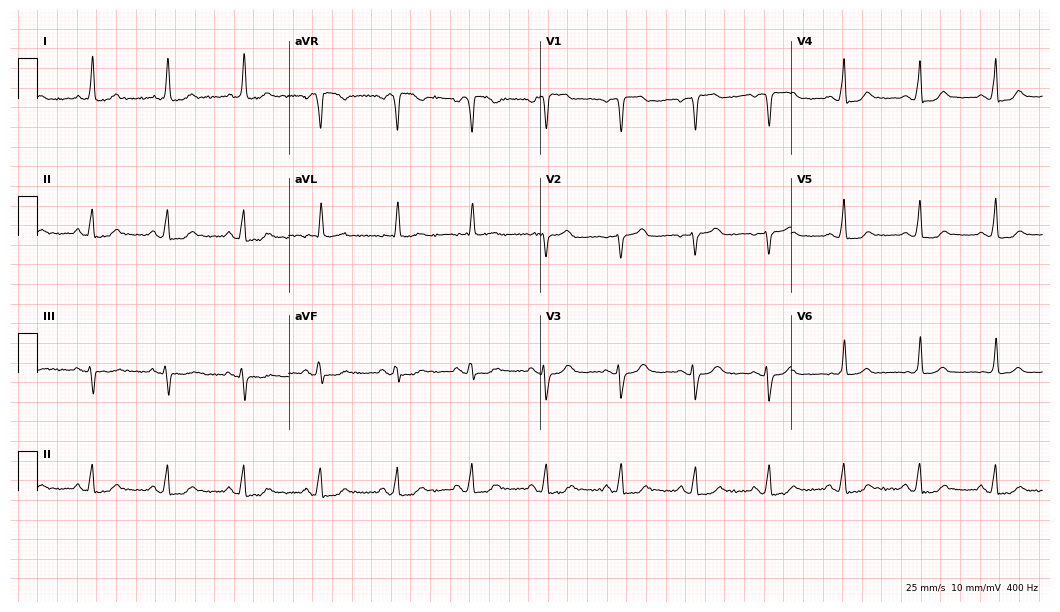
ECG (10.2-second recording at 400 Hz) — a female patient, 69 years old. Labelled as a normal ECG.